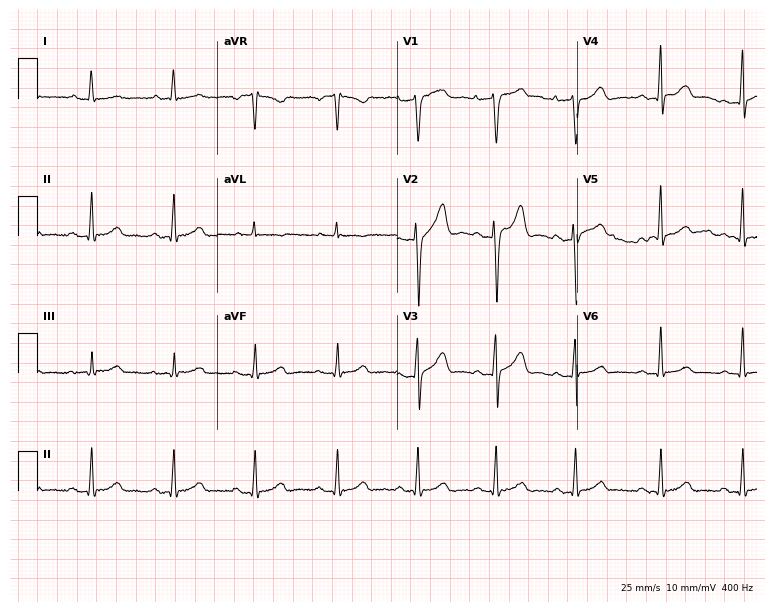
Resting 12-lead electrocardiogram (7.3-second recording at 400 Hz). Patient: a female, 29 years old. Read as a normal ECG.